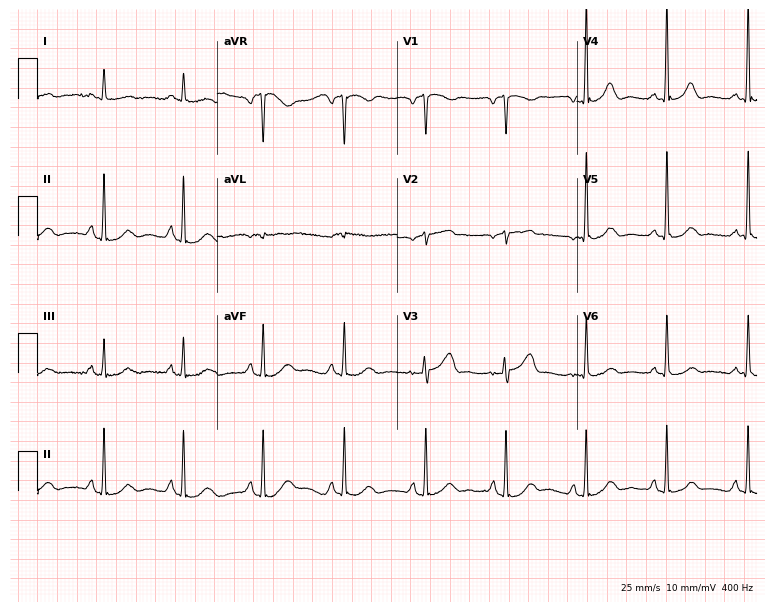
Standard 12-lead ECG recorded from an 80-year-old woman. None of these six findings is recorded: first-degree AV block, right bundle branch block (RBBB), left bundle branch block (LBBB), sinus bradycardia, atrial fibrillation (AF), sinus tachycardia.